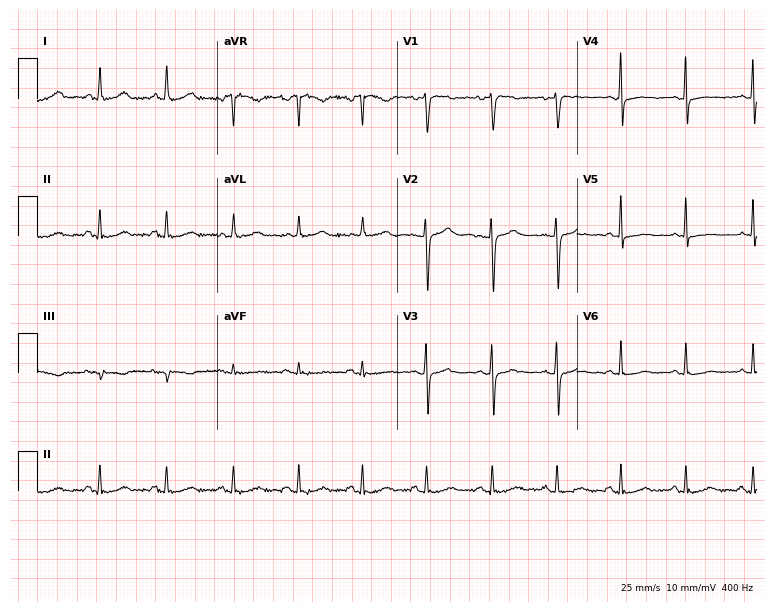
Electrocardiogram, a woman, 39 years old. Of the six screened findings (first-degree AV block, right bundle branch block, left bundle branch block, sinus bradycardia, atrial fibrillation, sinus tachycardia), none is recorded.